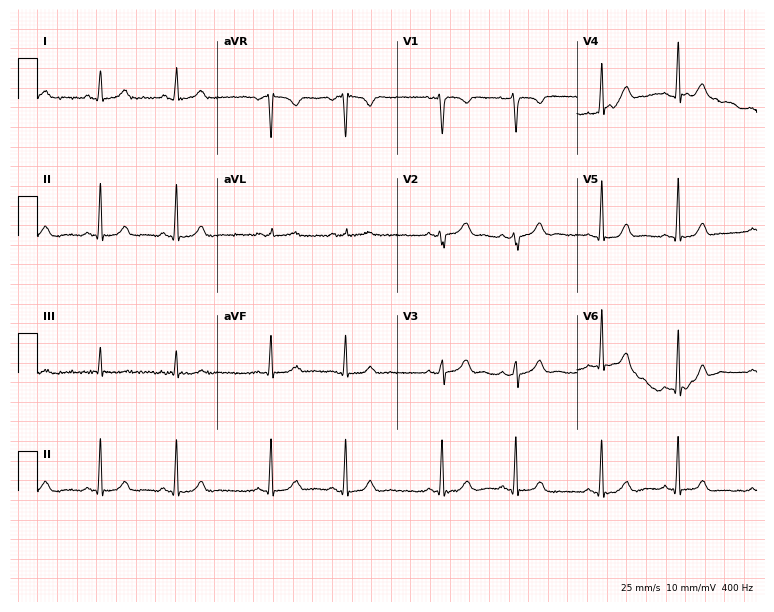
ECG — a 17-year-old female patient. Labelled as a normal ECG.